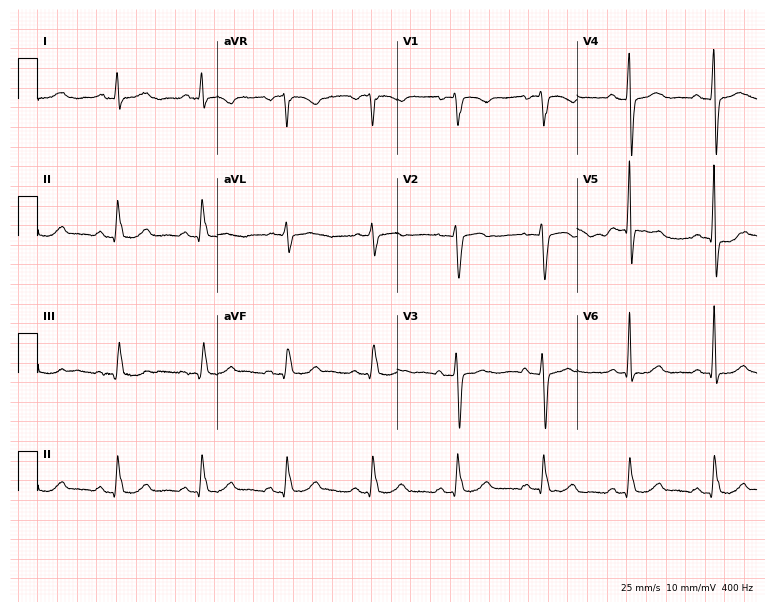
Resting 12-lead electrocardiogram. Patient: a 67-year-old woman. None of these six findings is recorded: first-degree AV block, right bundle branch block, left bundle branch block, sinus bradycardia, atrial fibrillation, sinus tachycardia. Only these six findings were labelled.